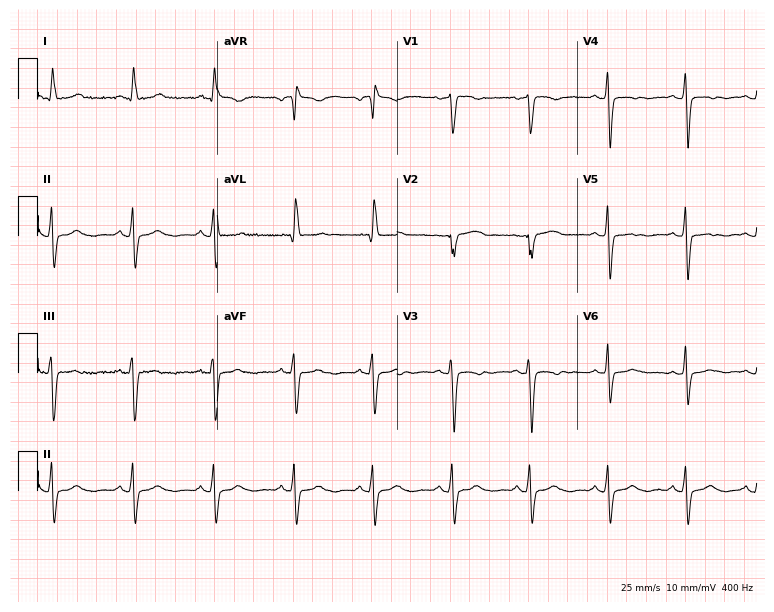
ECG (7.3-second recording at 400 Hz) — a 61-year-old female. Screened for six findings — first-degree AV block, right bundle branch block, left bundle branch block, sinus bradycardia, atrial fibrillation, sinus tachycardia — none is recorded. Other findings, if any, are not listed.